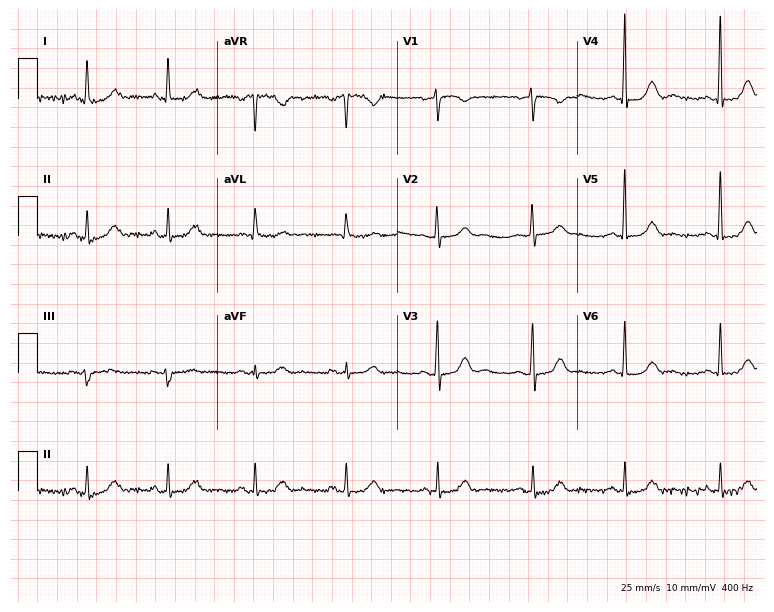
Electrocardiogram, a 72-year-old female patient. Of the six screened findings (first-degree AV block, right bundle branch block, left bundle branch block, sinus bradycardia, atrial fibrillation, sinus tachycardia), none is recorded.